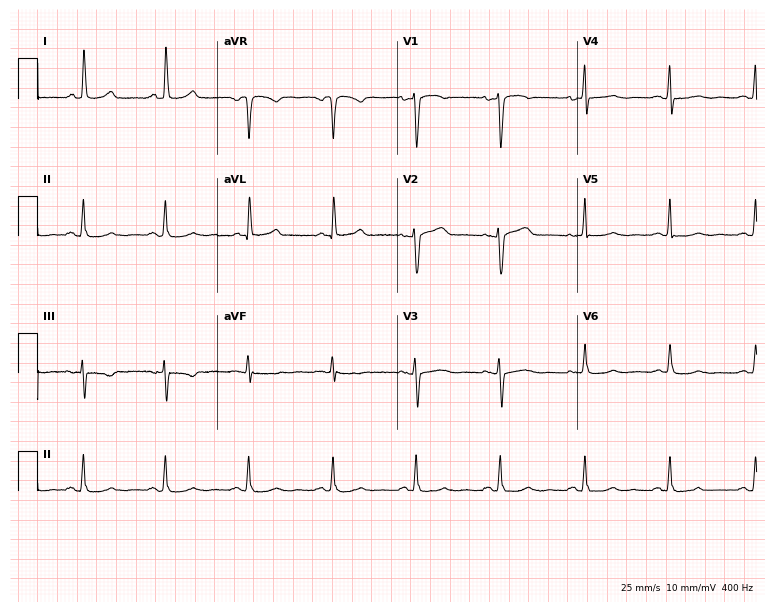
ECG — a 49-year-old female patient. Screened for six findings — first-degree AV block, right bundle branch block (RBBB), left bundle branch block (LBBB), sinus bradycardia, atrial fibrillation (AF), sinus tachycardia — none is recorded.